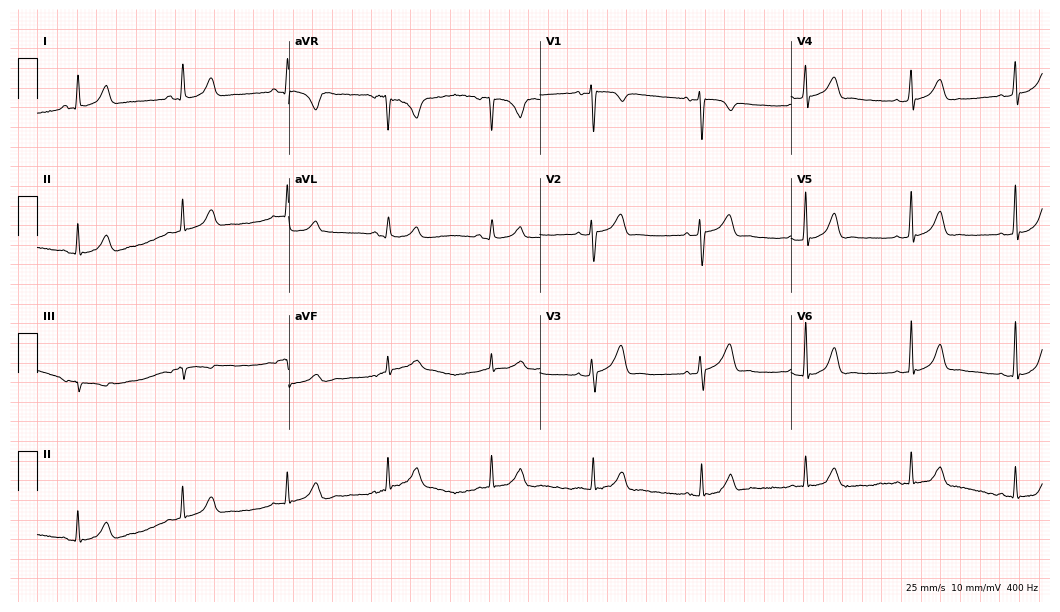
12-lead ECG from a female, 38 years old (10.2-second recording at 400 Hz). Recorded interpretation: within normal limits.